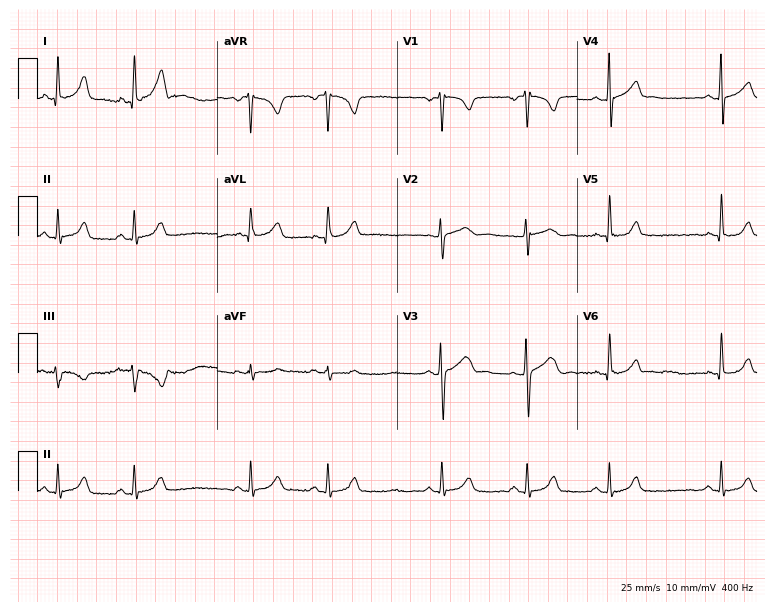
Electrocardiogram, a 21-year-old female patient. Of the six screened findings (first-degree AV block, right bundle branch block, left bundle branch block, sinus bradycardia, atrial fibrillation, sinus tachycardia), none is recorded. Findings outside these six are not listed.